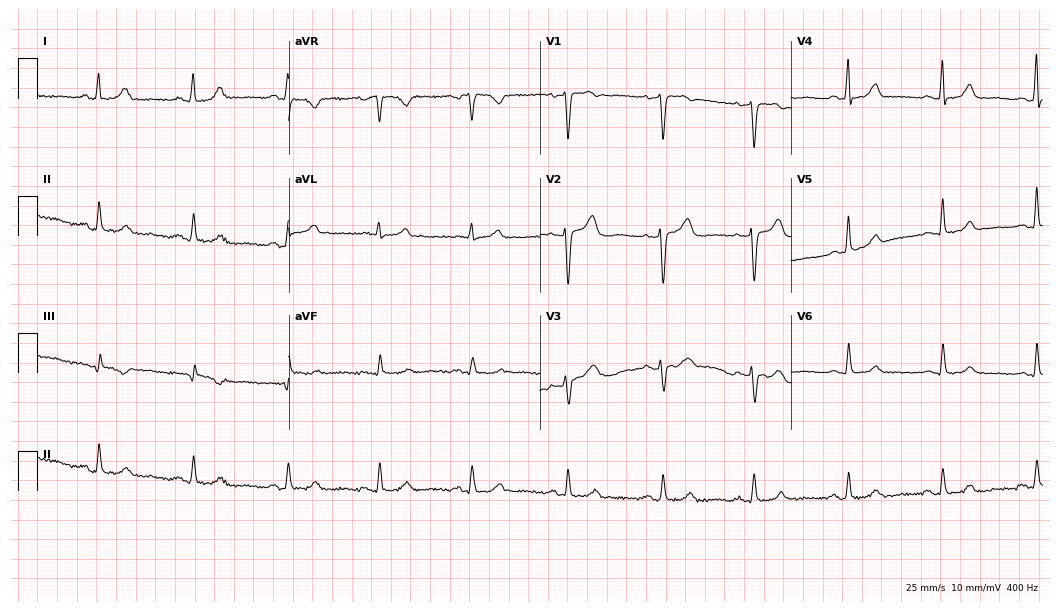
Resting 12-lead electrocardiogram. Patient: a 43-year-old woman. Read as a normal ECG.